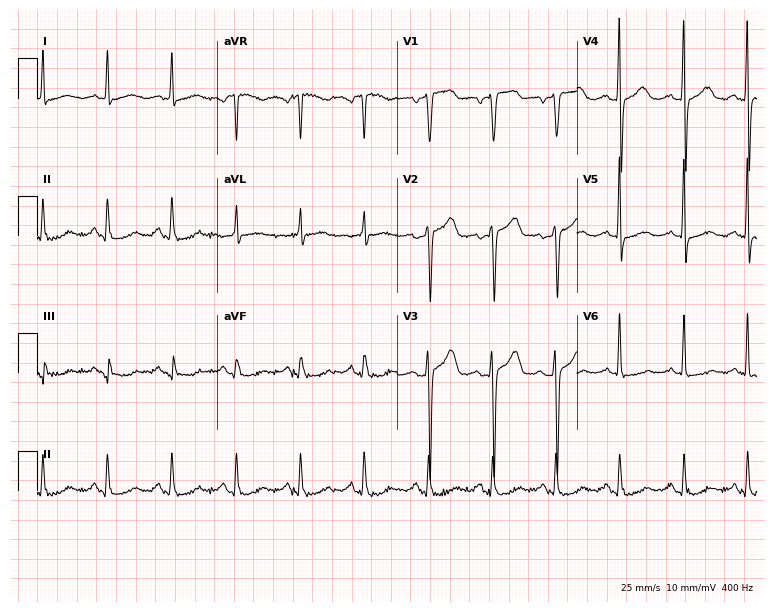
12-lead ECG from a female, 54 years old. No first-degree AV block, right bundle branch block, left bundle branch block, sinus bradycardia, atrial fibrillation or sinus tachycardia recorded for this tracing. Other findings, if any, are not listed.